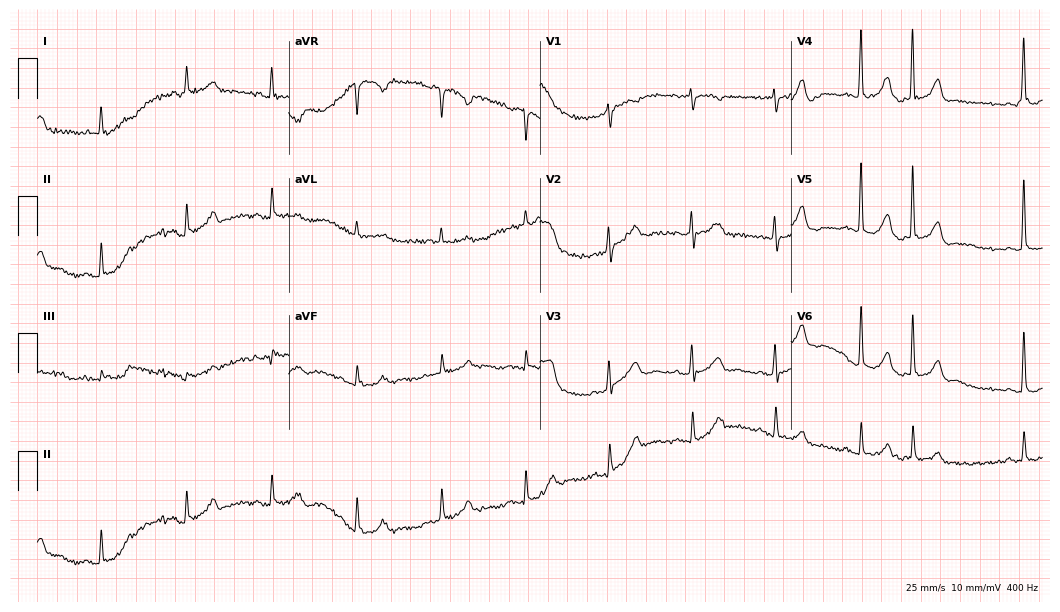
12-lead ECG (10.2-second recording at 400 Hz) from a female, 81 years old. Screened for six findings — first-degree AV block, right bundle branch block, left bundle branch block, sinus bradycardia, atrial fibrillation, sinus tachycardia — none is recorded.